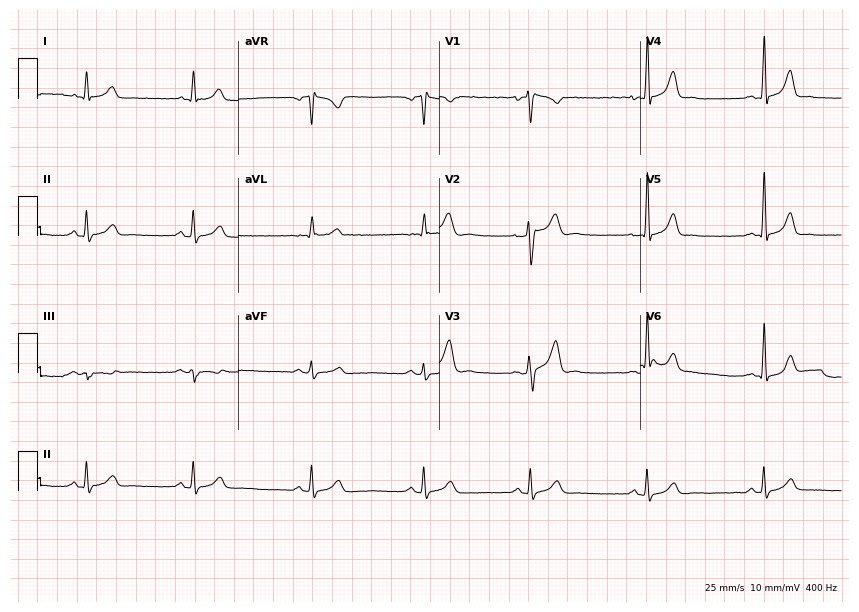
ECG — a male, 34 years old. Labelled as a normal ECG.